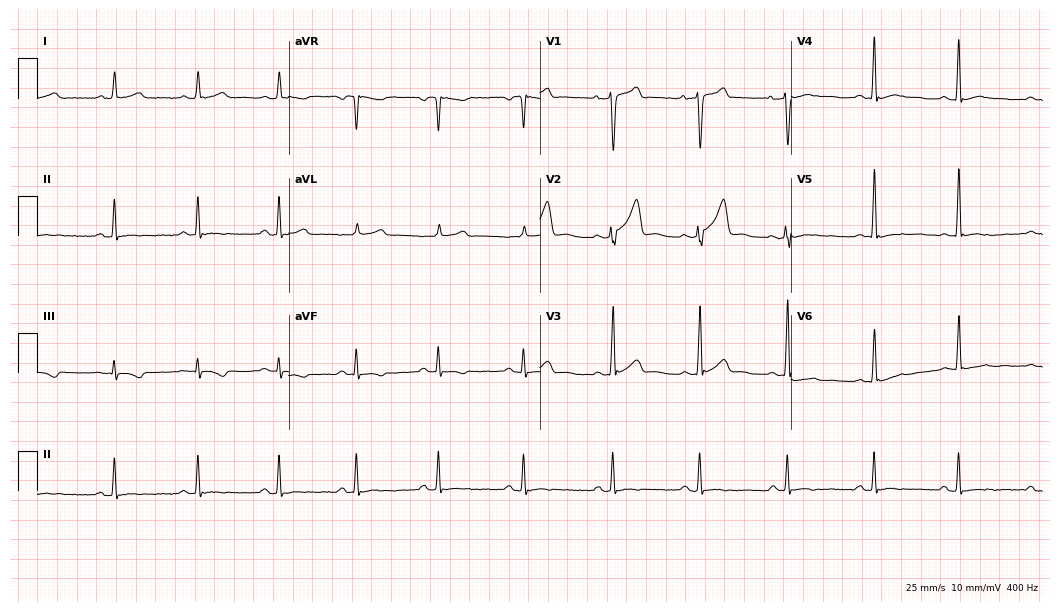
12-lead ECG from a 35-year-old male. No first-degree AV block, right bundle branch block, left bundle branch block, sinus bradycardia, atrial fibrillation or sinus tachycardia recorded for this tracing.